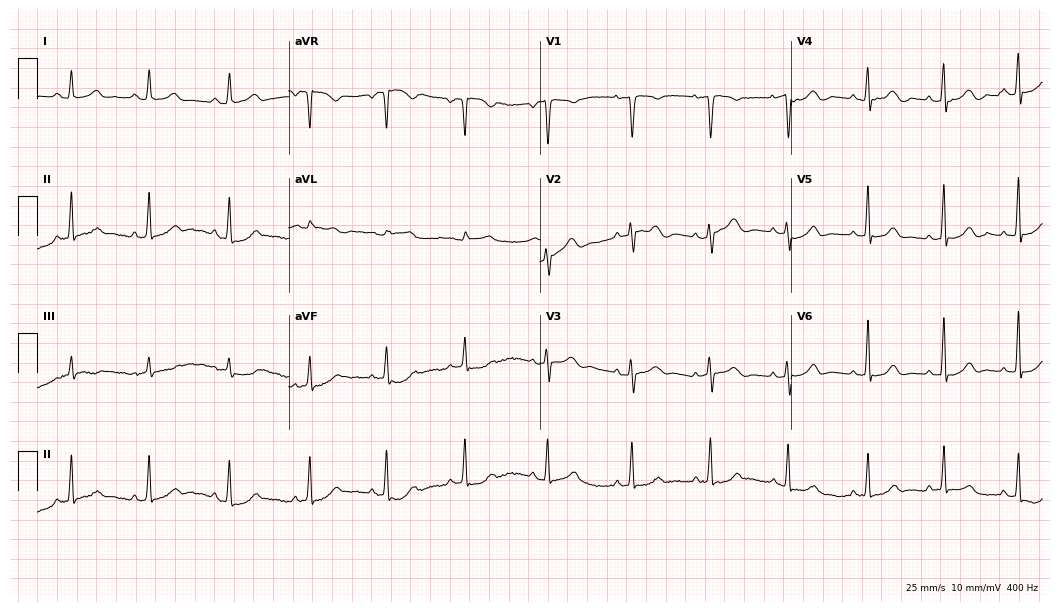
Resting 12-lead electrocardiogram (10.2-second recording at 400 Hz). Patient: a 20-year-old female. Read as a normal ECG.